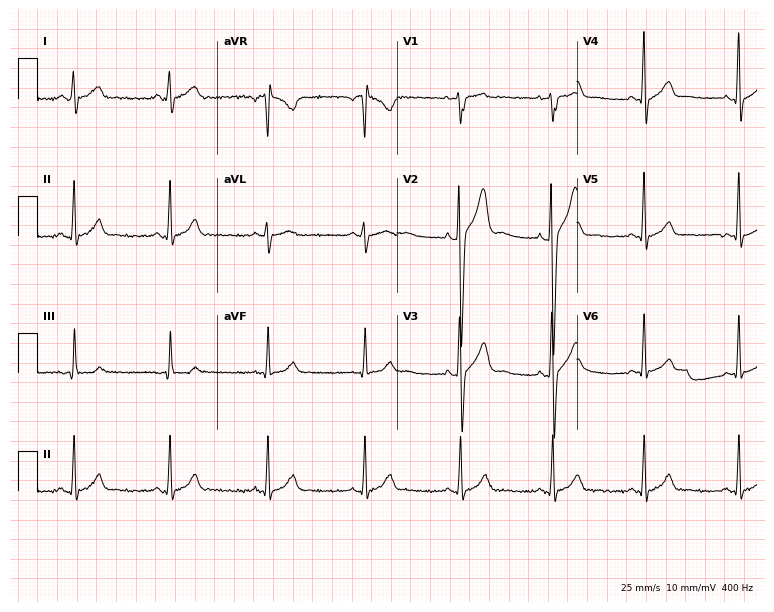
Resting 12-lead electrocardiogram (7.3-second recording at 400 Hz). Patient: a male, 28 years old. None of these six findings is recorded: first-degree AV block, right bundle branch block, left bundle branch block, sinus bradycardia, atrial fibrillation, sinus tachycardia. Only these six findings were labelled.